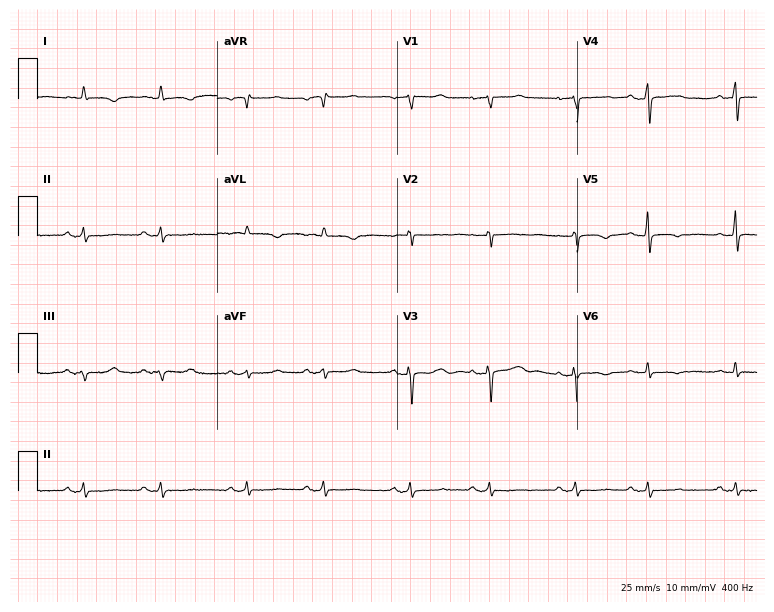
12-lead ECG (7.3-second recording at 400 Hz) from a female patient, 71 years old. Screened for six findings — first-degree AV block, right bundle branch block, left bundle branch block, sinus bradycardia, atrial fibrillation, sinus tachycardia — none is recorded. Findings outside these six are not listed.